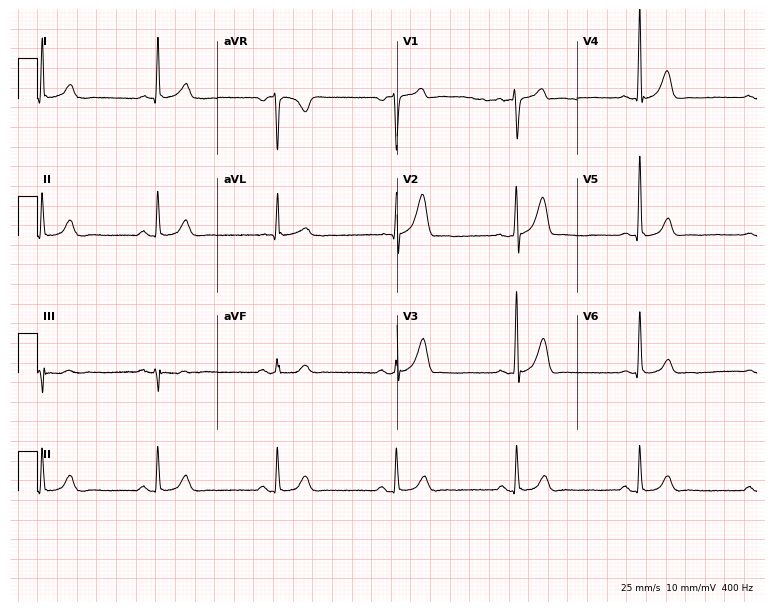
Electrocardiogram, a man, 58 years old. Overall reading on record: normal ECG.